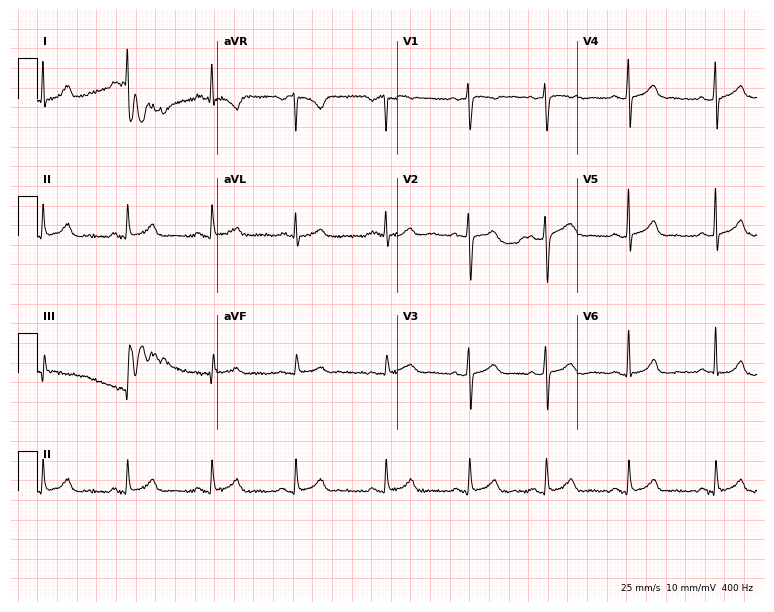
Standard 12-lead ECG recorded from a 33-year-old woman. Read as a normal ECG.